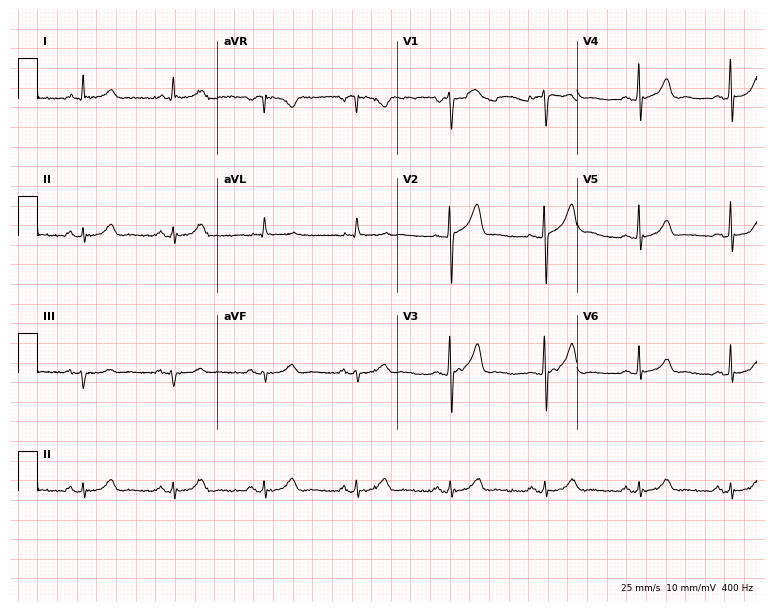
ECG (7.3-second recording at 400 Hz) — a 63-year-old male. Labelled as a normal ECG.